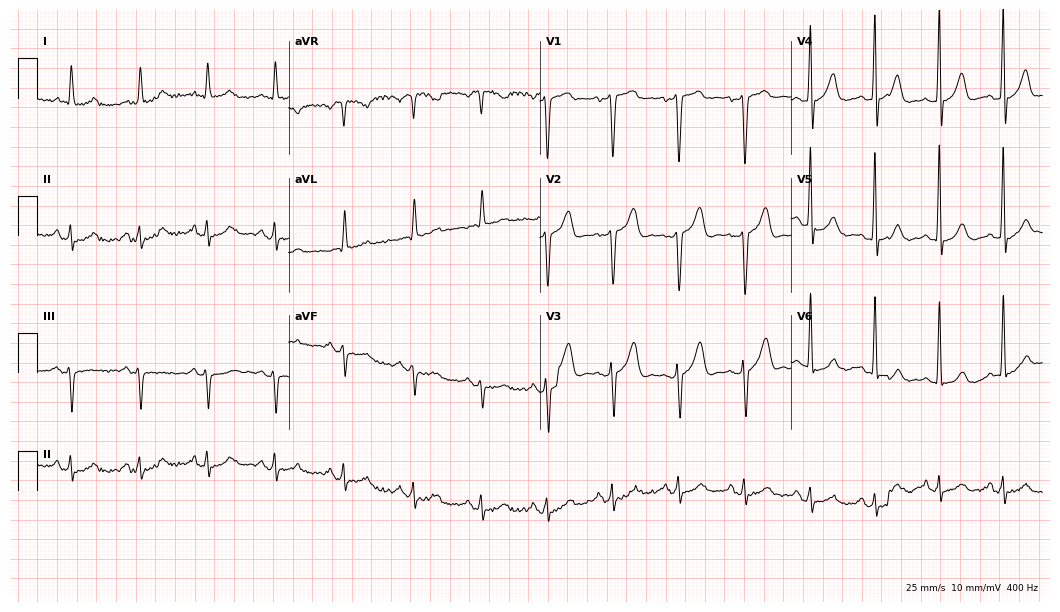
Resting 12-lead electrocardiogram (10.2-second recording at 400 Hz). Patient: a male, 69 years old. None of these six findings is recorded: first-degree AV block, right bundle branch block (RBBB), left bundle branch block (LBBB), sinus bradycardia, atrial fibrillation (AF), sinus tachycardia. Findings outside these six are not listed.